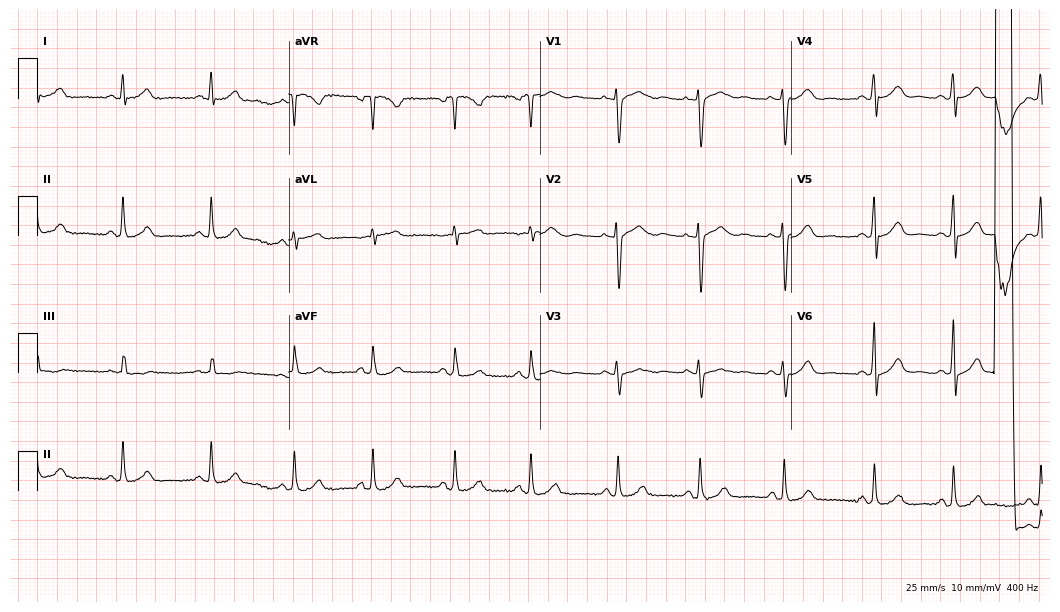
12-lead ECG (10.2-second recording at 400 Hz) from a 30-year-old female patient. Labelled as a normal ECG.